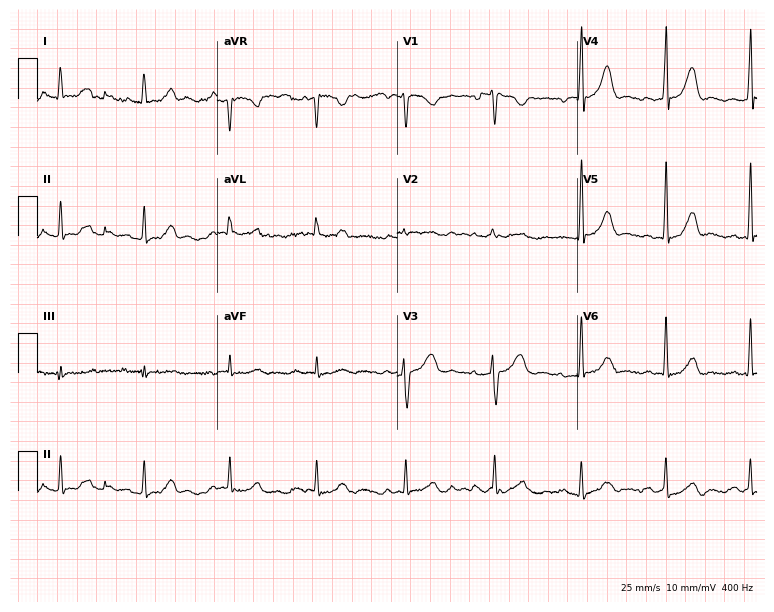
ECG — a 59-year-old female. Labelled as a normal ECG.